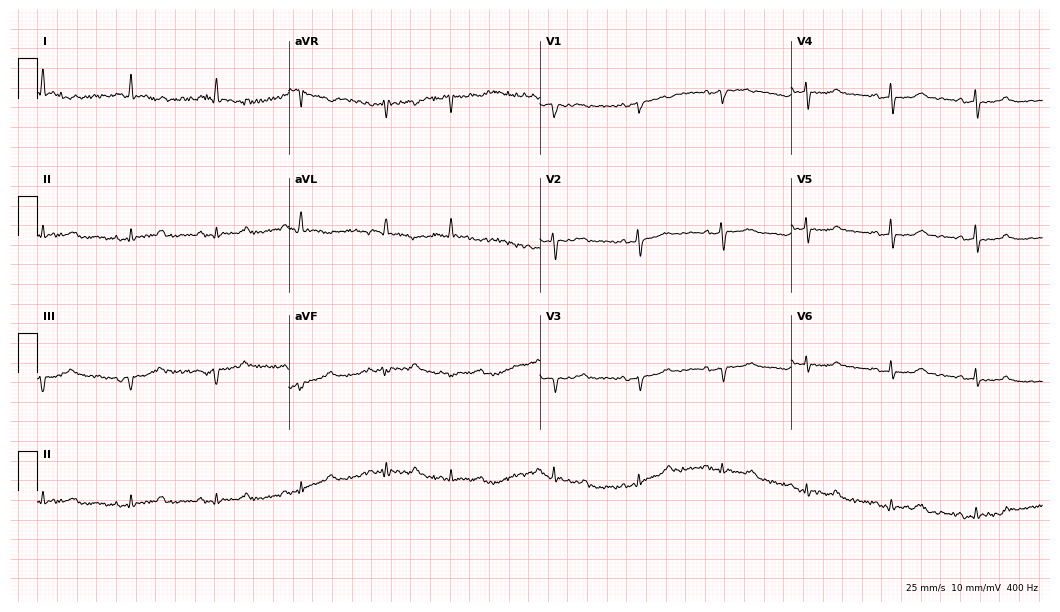
12-lead ECG (10.2-second recording at 400 Hz) from a 72-year-old female patient. Screened for six findings — first-degree AV block, right bundle branch block (RBBB), left bundle branch block (LBBB), sinus bradycardia, atrial fibrillation (AF), sinus tachycardia — none is recorded.